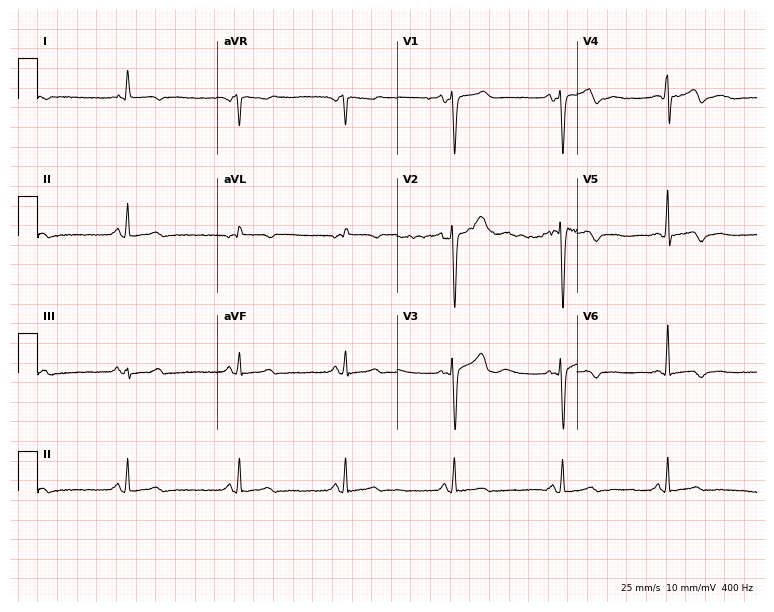
12-lead ECG from a 53-year-old woman (7.3-second recording at 400 Hz). No first-degree AV block, right bundle branch block, left bundle branch block, sinus bradycardia, atrial fibrillation or sinus tachycardia recorded for this tracing. Only these six findings were labelled.